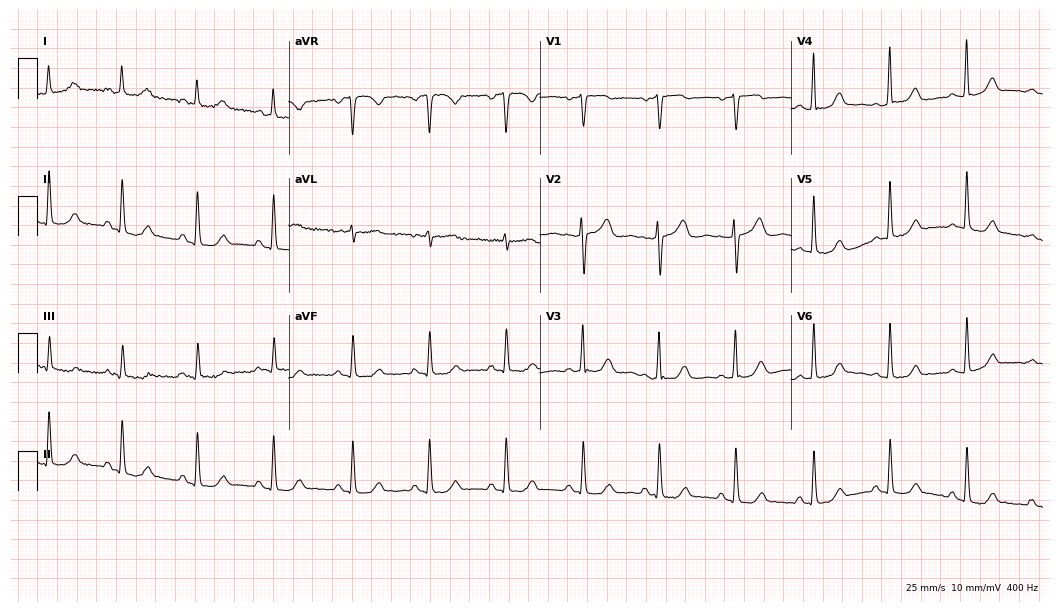
12-lead ECG from a woman, 76 years old. Recorded interpretation: within normal limits.